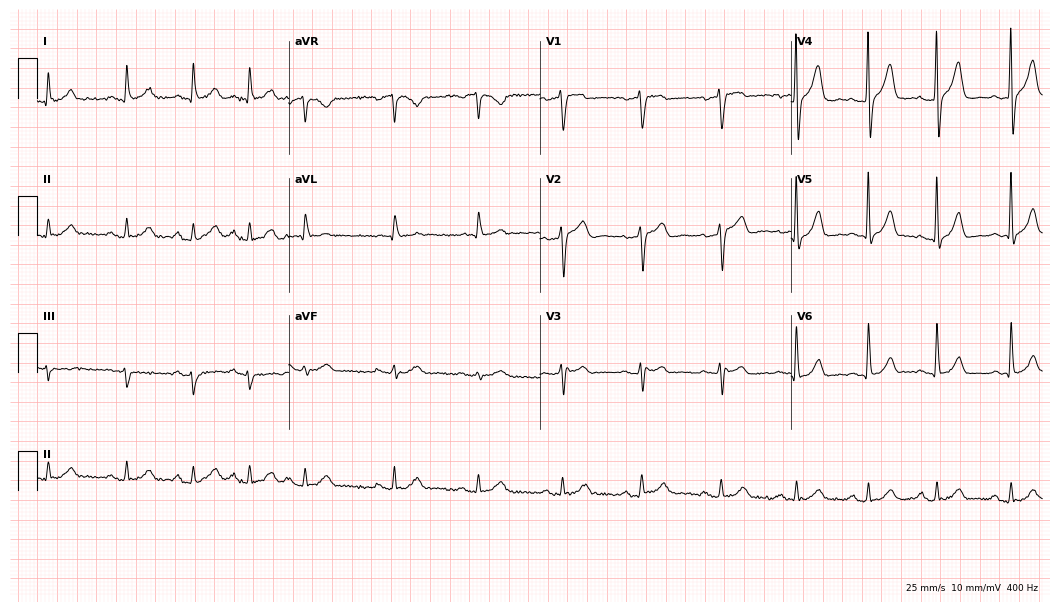
12-lead ECG from a male, 52 years old. No first-degree AV block, right bundle branch block, left bundle branch block, sinus bradycardia, atrial fibrillation or sinus tachycardia recorded for this tracing. Findings outside these six are not listed.